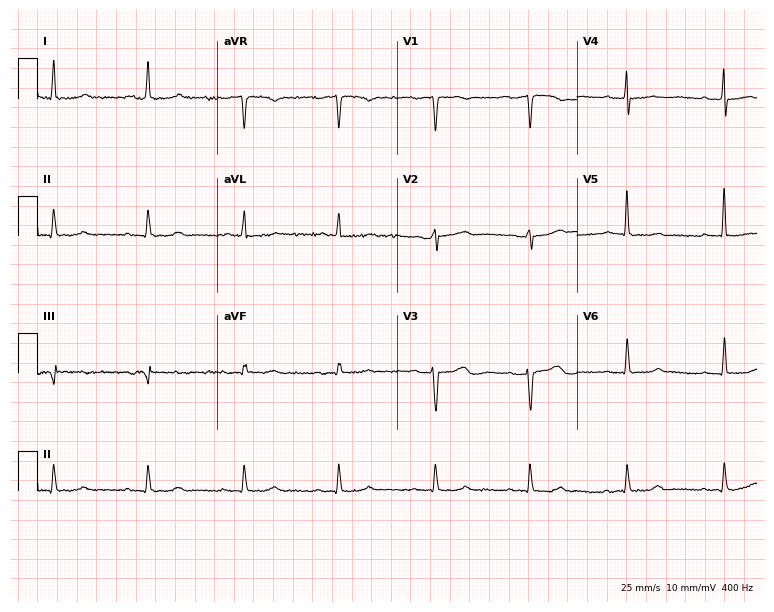
12-lead ECG from a 70-year-old female patient. No first-degree AV block, right bundle branch block, left bundle branch block, sinus bradycardia, atrial fibrillation or sinus tachycardia recorded for this tracing.